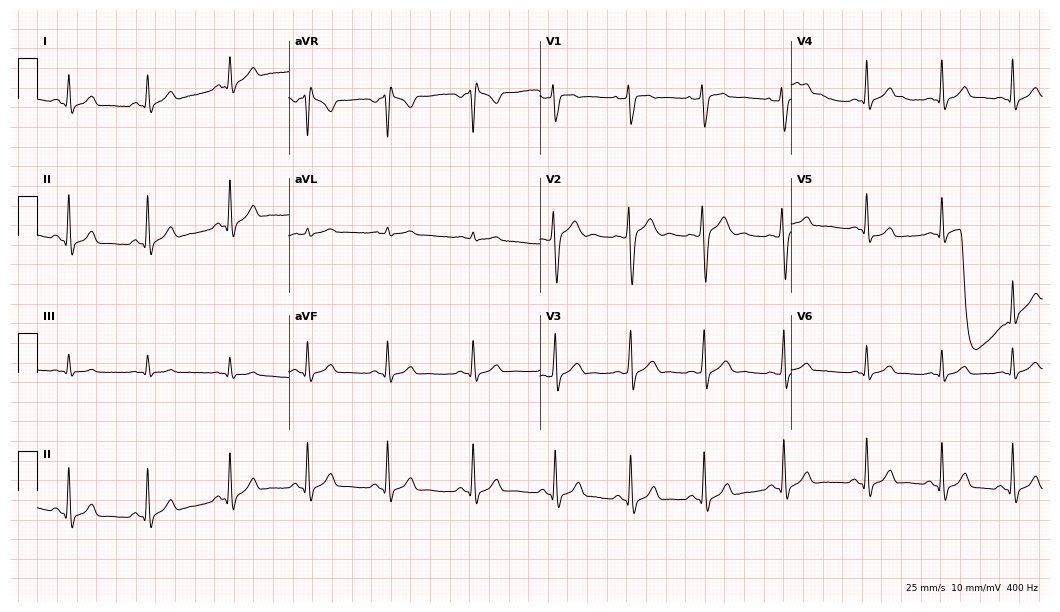
12-lead ECG from a male, 23 years old. Screened for six findings — first-degree AV block, right bundle branch block (RBBB), left bundle branch block (LBBB), sinus bradycardia, atrial fibrillation (AF), sinus tachycardia — none is recorded.